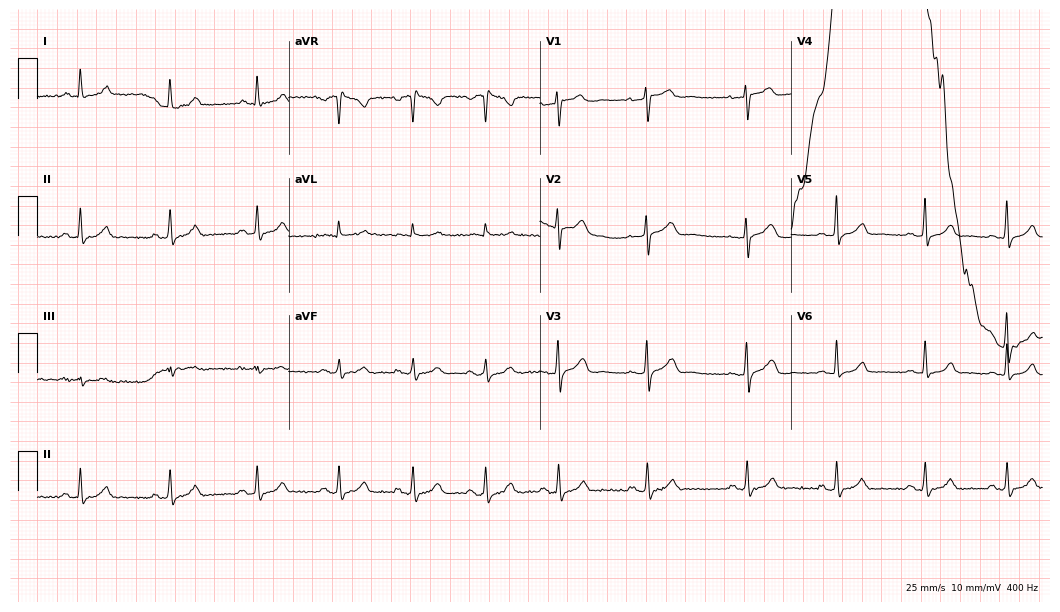
ECG — a 41-year-old female. Screened for six findings — first-degree AV block, right bundle branch block, left bundle branch block, sinus bradycardia, atrial fibrillation, sinus tachycardia — none is recorded.